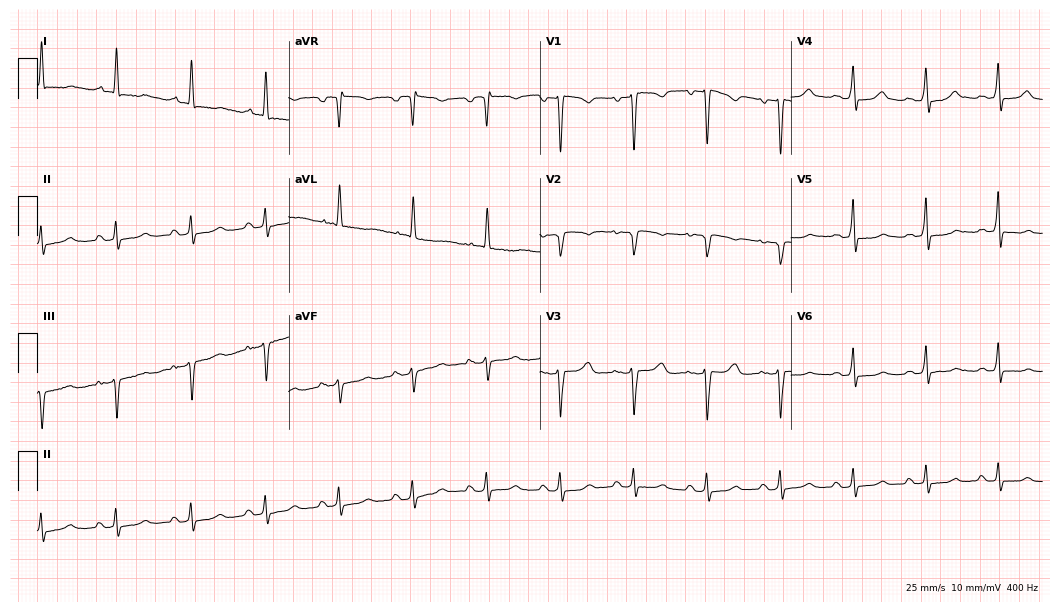
Electrocardiogram, a female patient, 78 years old. Of the six screened findings (first-degree AV block, right bundle branch block, left bundle branch block, sinus bradycardia, atrial fibrillation, sinus tachycardia), none is recorded. Other findings, if any, are not listed.